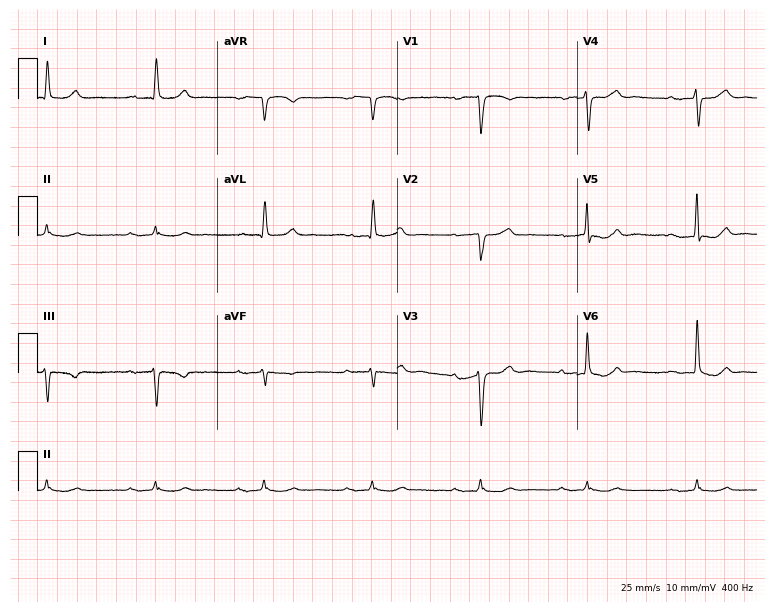
ECG (7.3-second recording at 400 Hz) — an 85-year-old man. Screened for six findings — first-degree AV block, right bundle branch block (RBBB), left bundle branch block (LBBB), sinus bradycardia, atrial fibrillation (AF), sinus tachycardia — none is recorded.